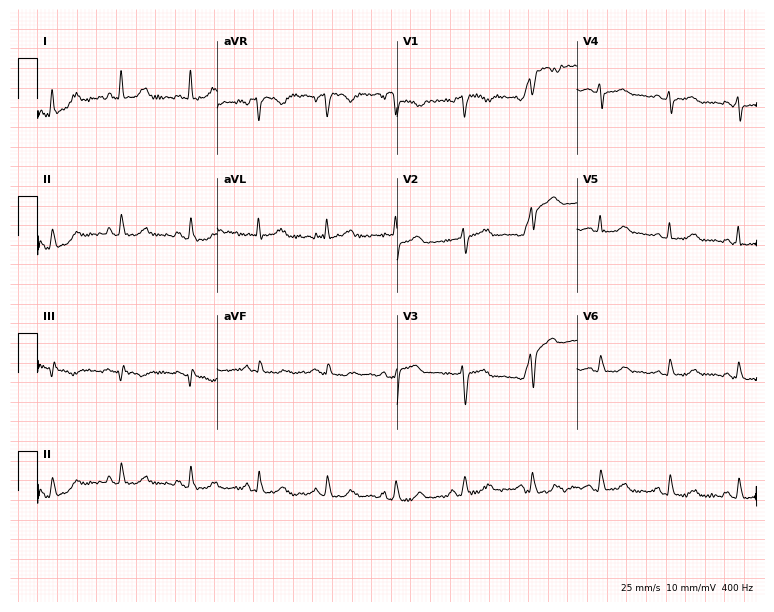
Standard 12-lead ECG recorded from a woman, 53 years old (7.3-second recording at 400 Hz). None of these six findings is recorded: first-degree AV block, right bundle branch block, left bundle branch block, sinus bradycardia, atrial fibrillation, sinus tachycardia. Only these six findings were labelled.